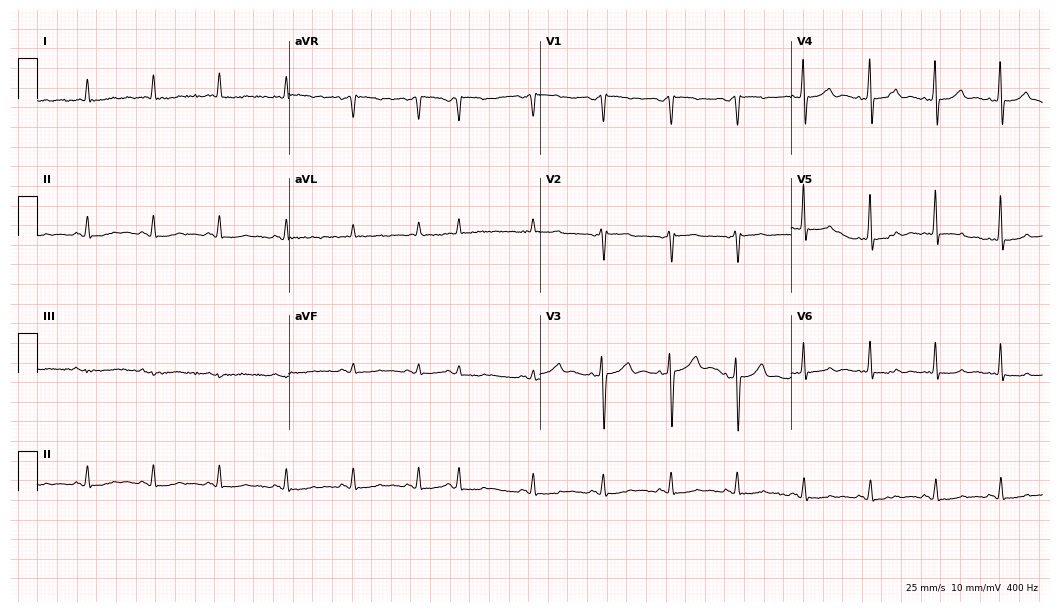
Electrocardiogram, a 79-year-old male patient. Of the six screened findings (first-degree AV block, right bundle branch block, left bundle branch block, sinus bradycardia, atrial fibrillation, sinus tachycardia), none is recorded.